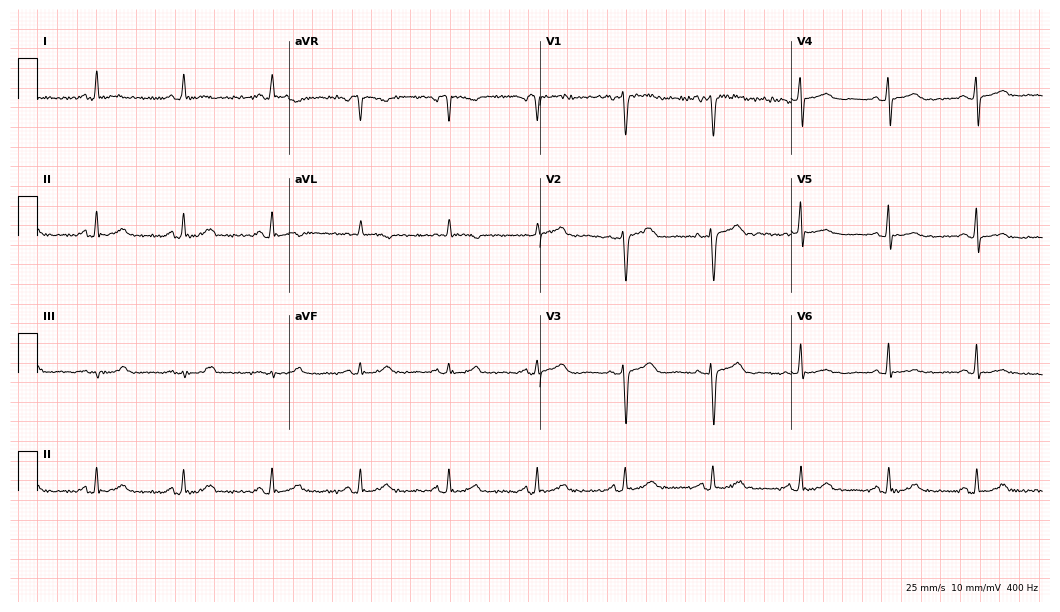
Electrocardiogram (10.2-second recording at 400 Hz), a 62-year-old female. Overall reading on record: normal ECG.